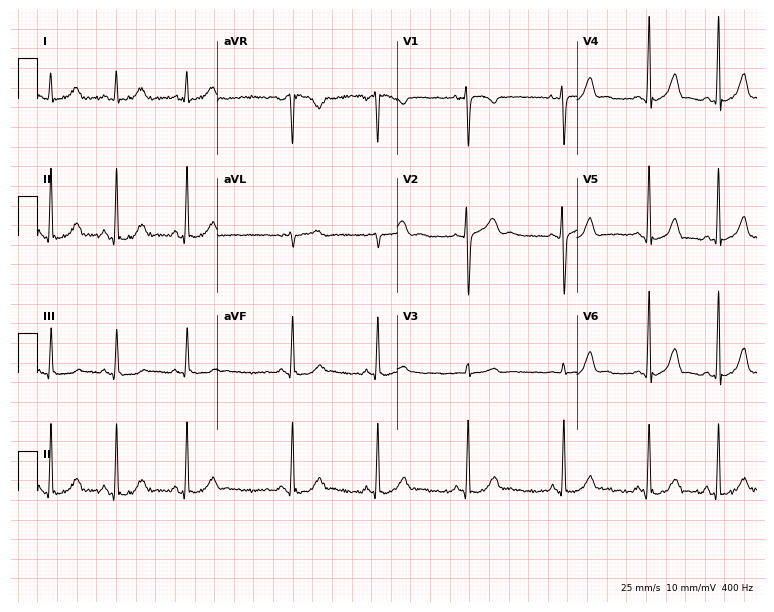
Resting 12-lead electrocardiogram. Patient: an 18-year-old female. Read as a normal ECG.